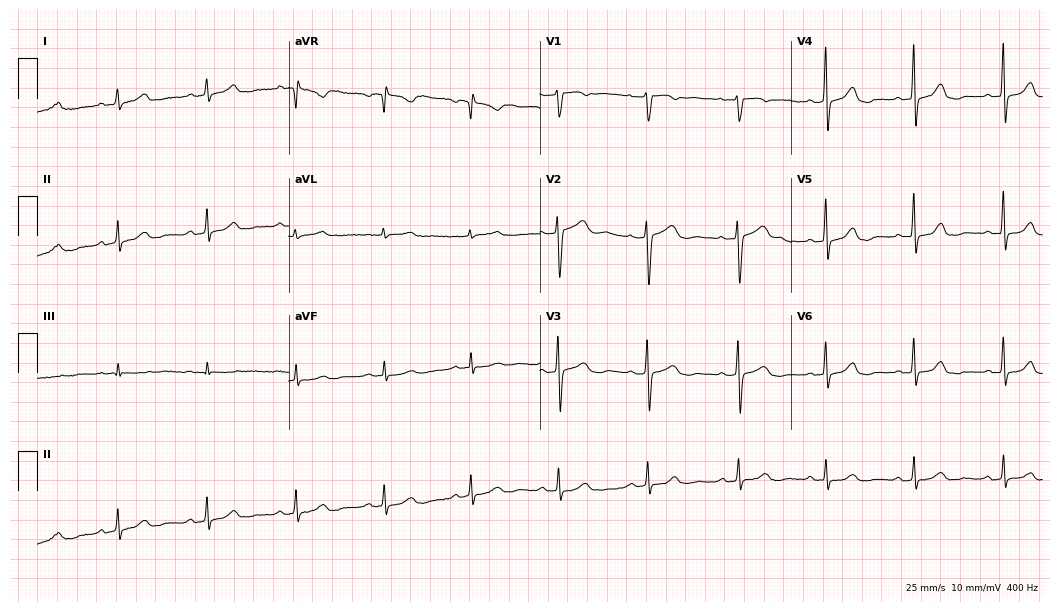
Resting 12-lead electrocardiogram. Patient: a 50-year-old female. Read as a normal ECG.